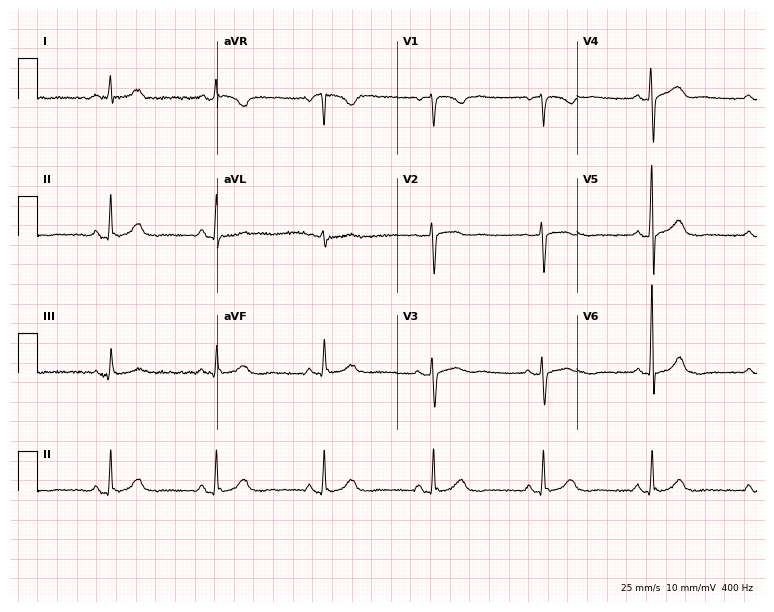
Resting 12-lead electrocardiogram. Patient: a female, 53 years old. Read as a normal ECG.